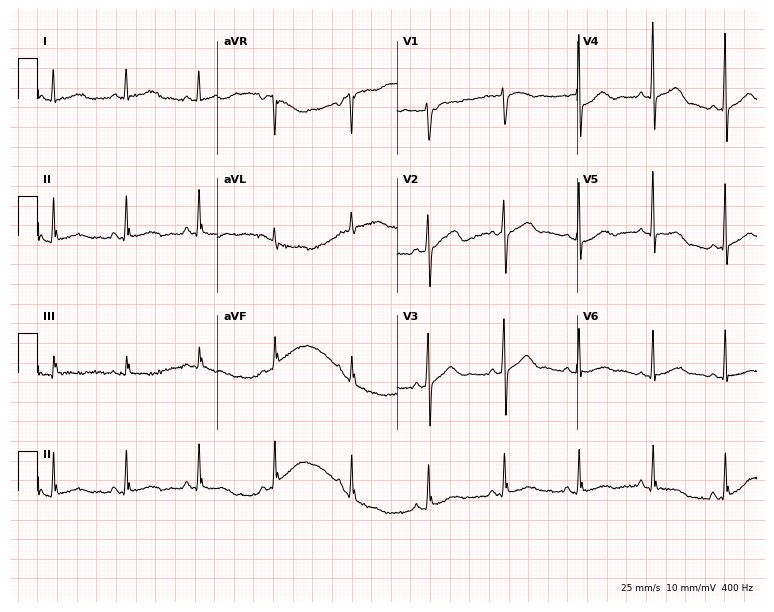
Standard 12-lead ECG recorded from a 48-year-old woman (7.3-second recording at 400 Hz). None of these six findings is recorded: first-degree AV block, right bundle branch block, left bundle branch block, sinus bradycardia, atrial fibrillation, sinus tachycardia.